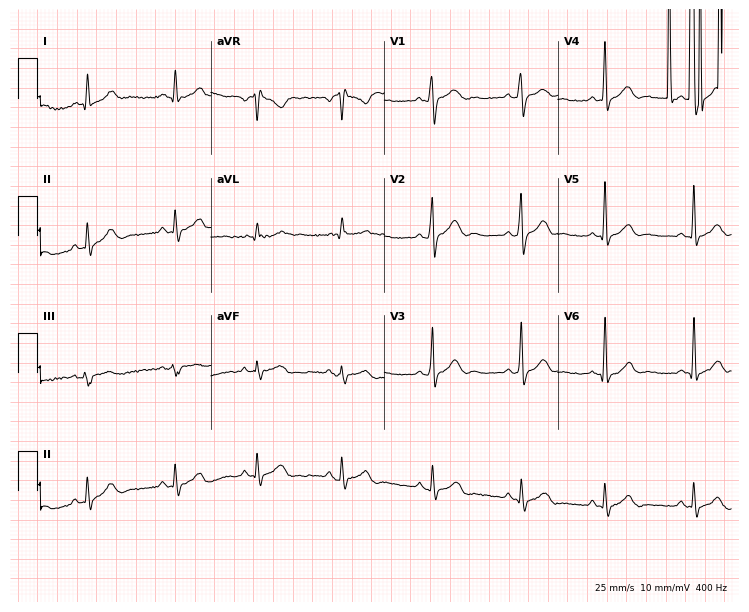
Resting 12-lead electrocardiogram. Patient: a 23-year-old female. None of these six findings is recorded: first-degree AV block, right bundle branch block, left bundle branch block, sinus bradycardia, atrial fibrillation, sinus tachycardia. Only these six findings were labelled.